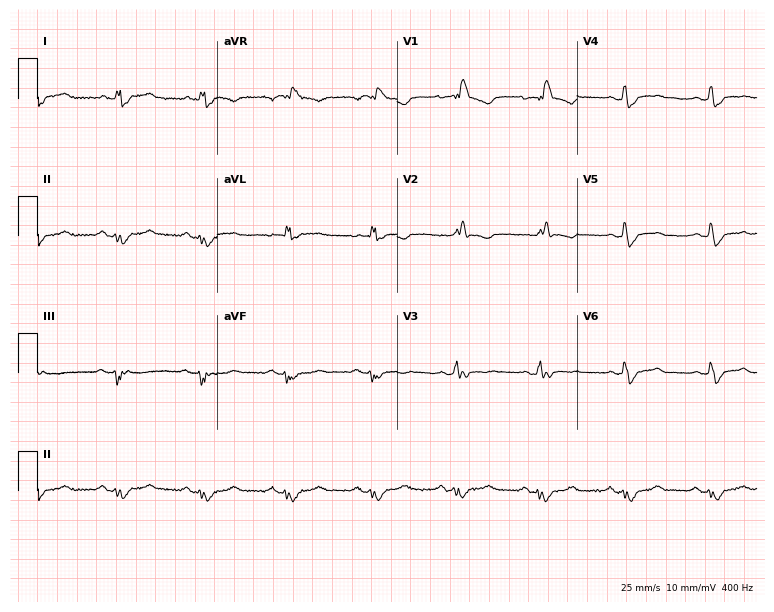
ECG — a 56-year-old woman. Findings include right bundle branch block.